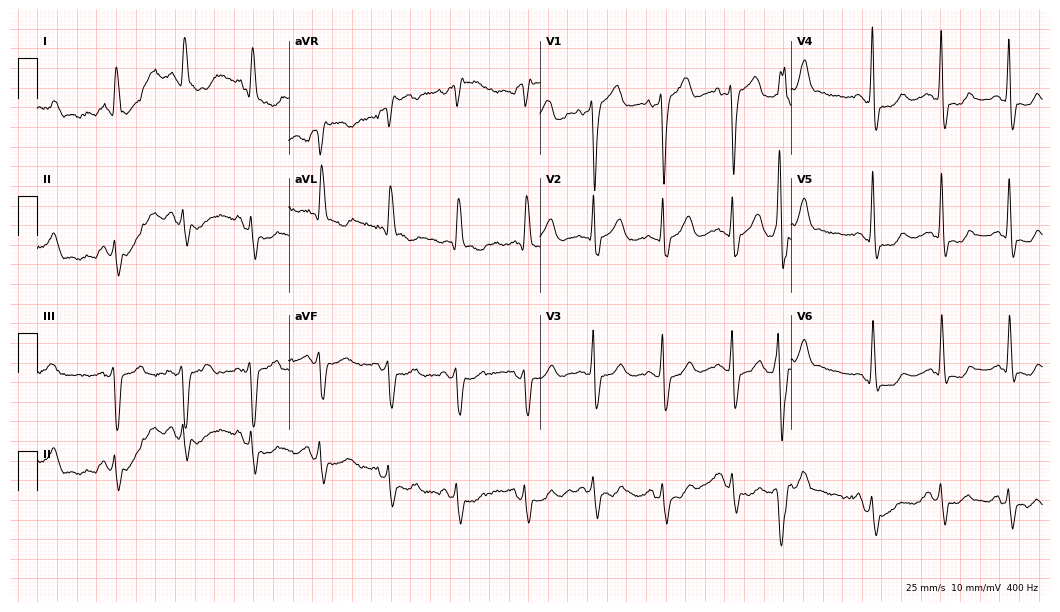
ECG (10.2-second recording at 400 Hz) — a male patient, 82 years old. Screened for six findings — first-degree AV block, right bundle branch block (RBBB), left bundle branch block (LBBB), sinus bradycardia, atrial fibrillation (AF), sinus tachycardia — none is recorded.